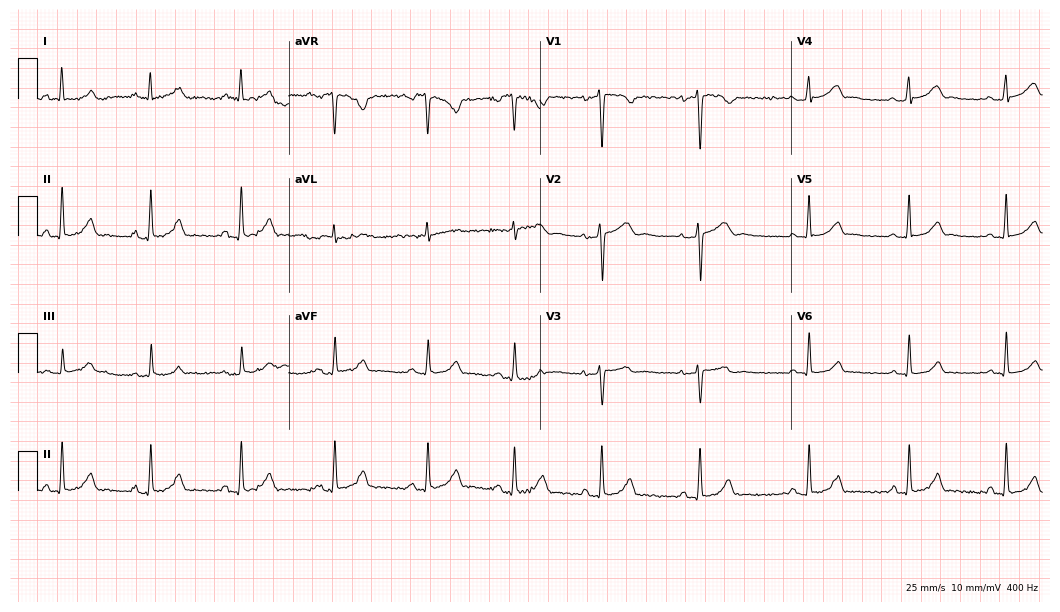
12-lead ECG (10.2-second recording at 400 Hz) from a female, 28 years old. Labelled as a normal ECG.